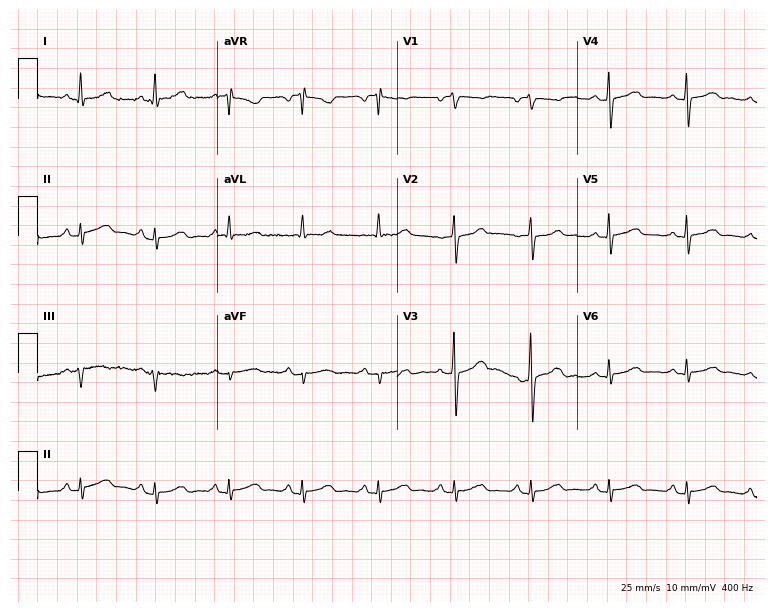
12-lead ECG (7.3-second recording at 400 Hz) from a 52-year-old woman. Labelled as a normal ECG.